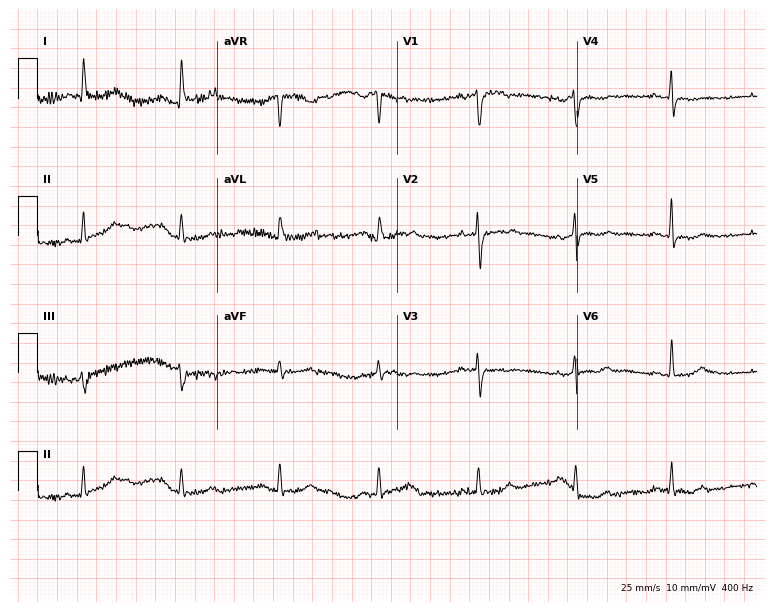
Resting 12-lead electrocardiogram (7.3-second recording at 400 Hz). Patient: a 65-year-old woman. None of these six findings is recorded: first-degree AV block, right bundle branch block, left bundle branch block, sinus bradycardia, atrial fibrillation, sinus tachycardia. Only these six findings were labelled.